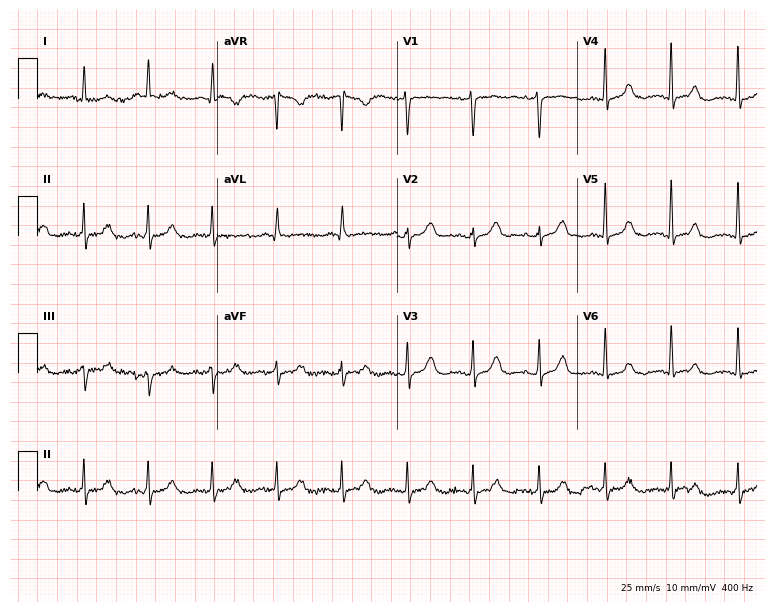
12-lead ECG from a female, 67 years old (7.3-second recording at 400 Hz). No first-degree AV block, right bundle branch block, left bundle branch block, sinus bradycardia, atrial fibrillation or sinus tachycardia recorded for this tracing.